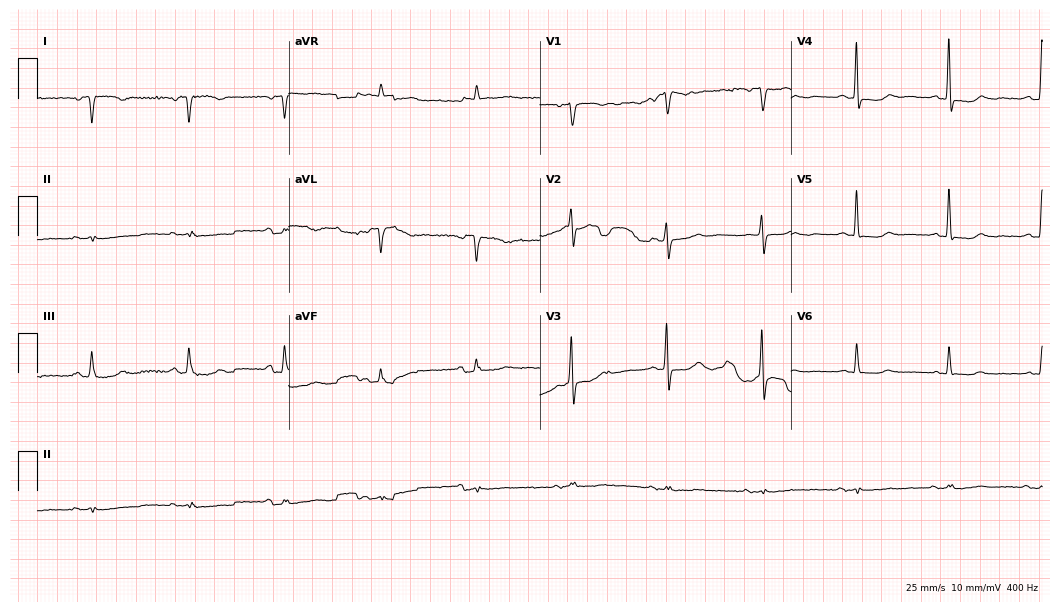
Electrocardiogram (10.2-second recording at 400 Hz), a female, 73 years old. Of the six screened findings (first-degree AV block, right bundle branch block (RBBB), left bundle branch block (LBBB), sinus bradycardia, atrial fibrillation (AF), sinus tachycardia), none is recorded. Findings outside these six are not listed.